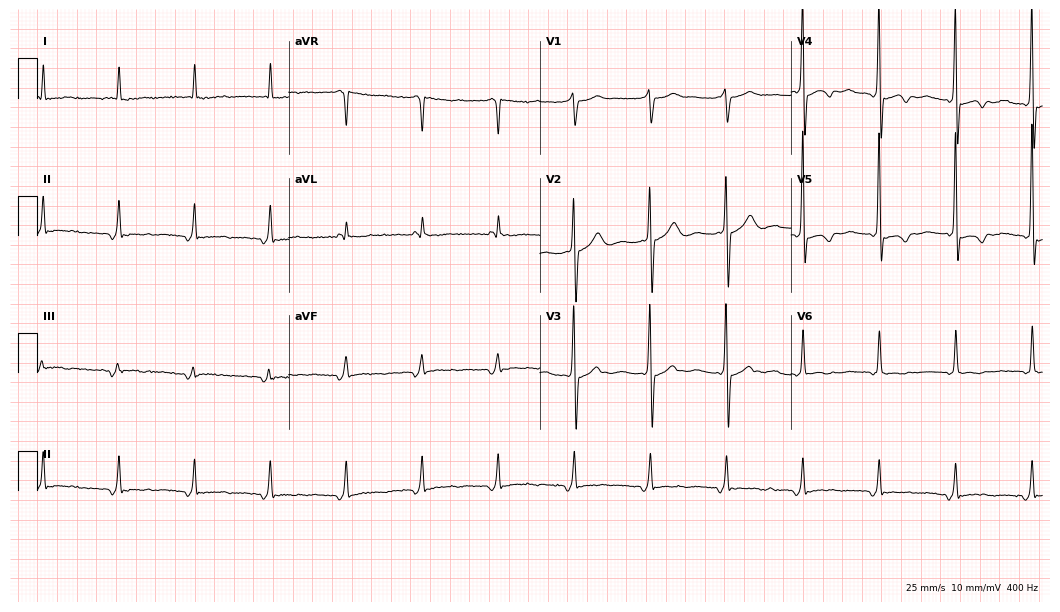
12-lead ECG from a 70-year-old male patient (10.2-second recording at 400 Hz). No first-degree AV block, right bundle branch block (RBBB), left bundle branch block (LBBB), sinus bradycardia, atrial fibrillation (AF) or sinus tachycardia recorded for this tracing. Other findings, if any, are not listed.